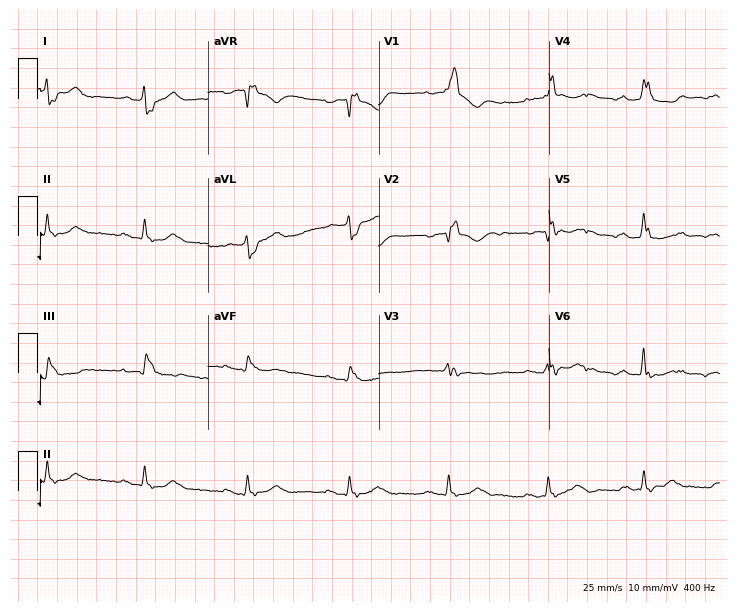
Resting 12-lead electrocardiogram. Patient: a 71-year-old female. The tracing shows right bundle branch block.